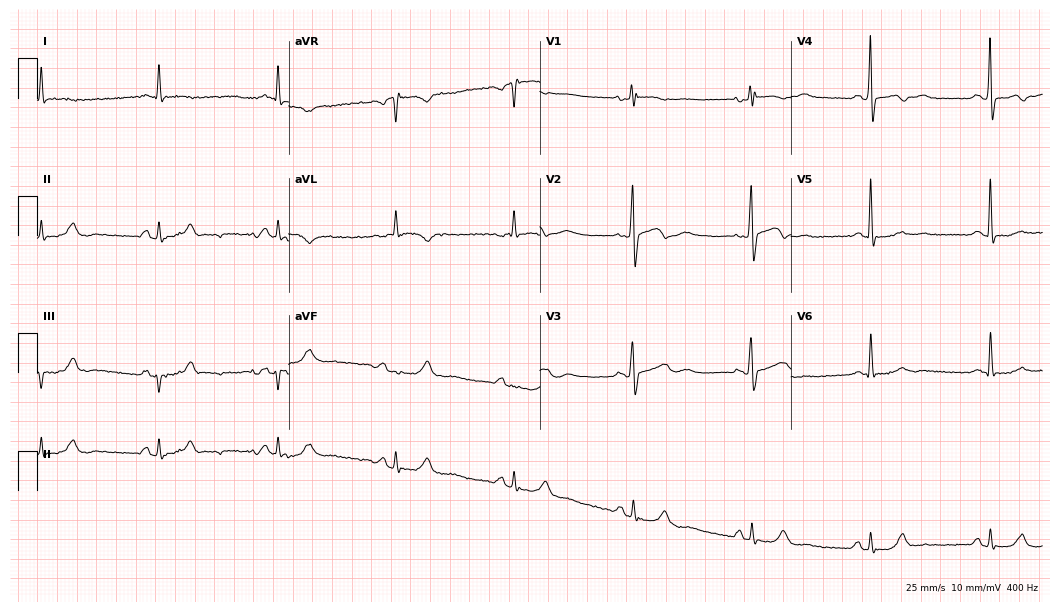
Standard 12-lead ECG recorded from a female, 65 years old. The tracing shows sinus bradycardia (a sinus rate of 50 beats per minute or less).